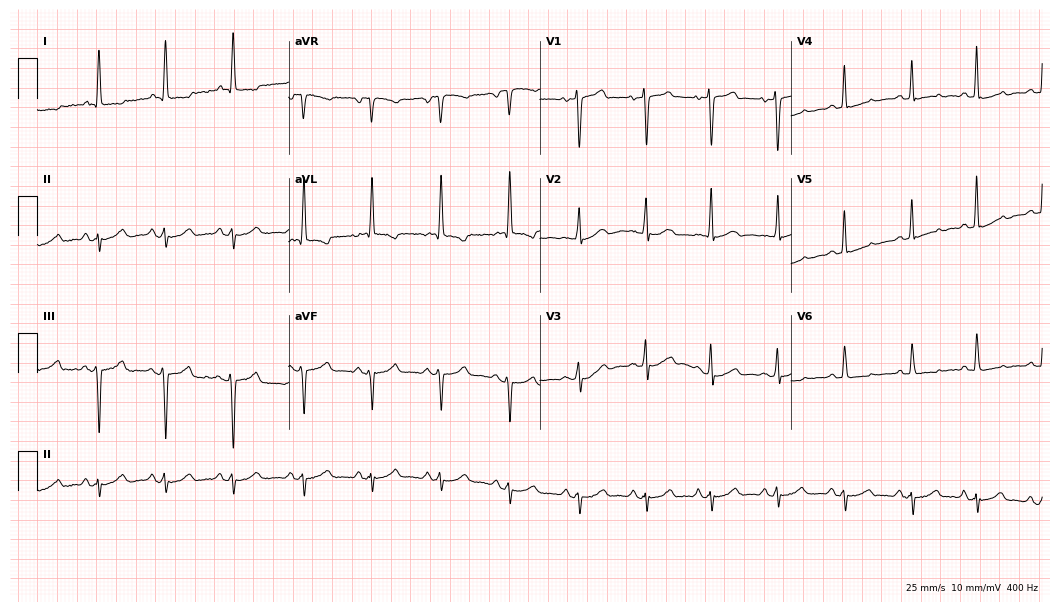
12-lead ECG from a female patient, 80 years old. Screened for six findings — first-degree AV block, right bundle branch block, left bundle branch block, sinus bradycardia, atrial fibrillation, sinus tachycardia — none is recorded.